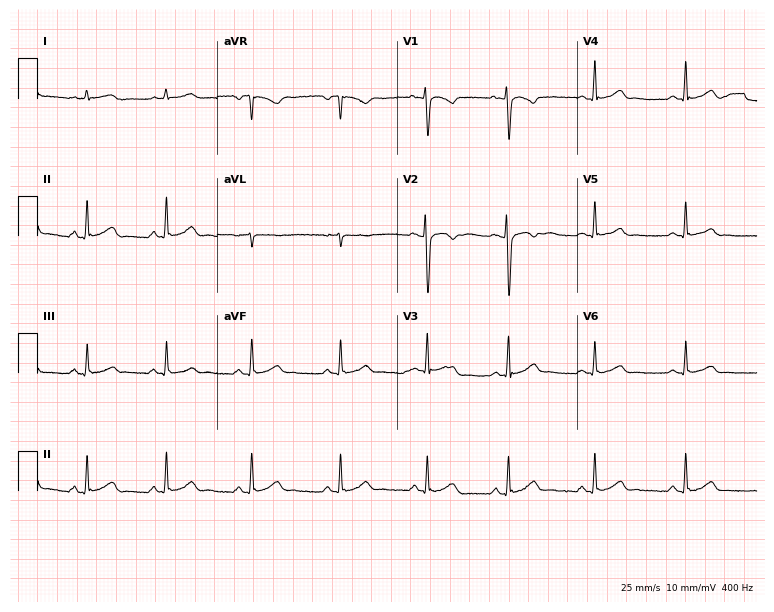
Electrocardiogram (7.3-second recording at 400 Hz), a female, 20 years old. Overall reading on record: normal ECG.